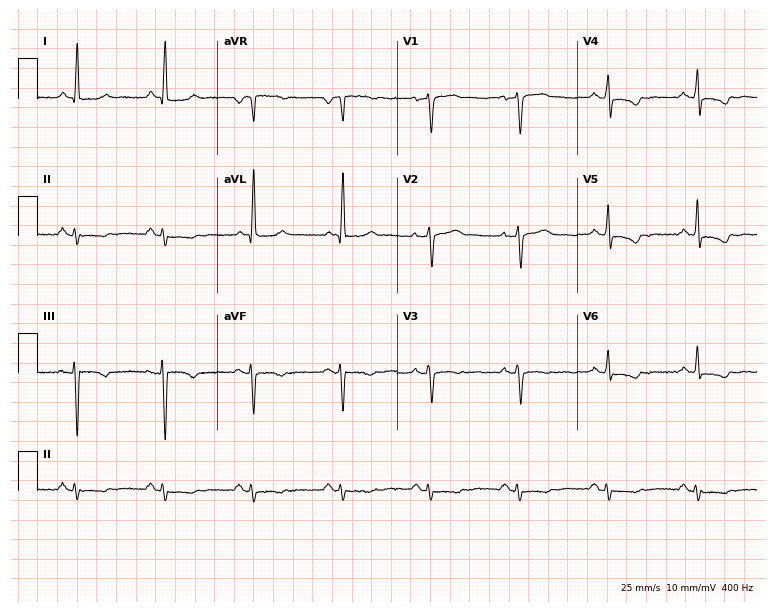
Resting 12-lead electrocardiogram (7.3-second recording at 400 Hz). Patient: a man, 66 years old. None of these six findings is recorded: first-degree AV block, right bundle branch block (RBBB), left bundle branch block (LBBB), sinus bradycardia, atrial fibrillation (AF), sinus tachycardia. Other findings, if any, are not listed.